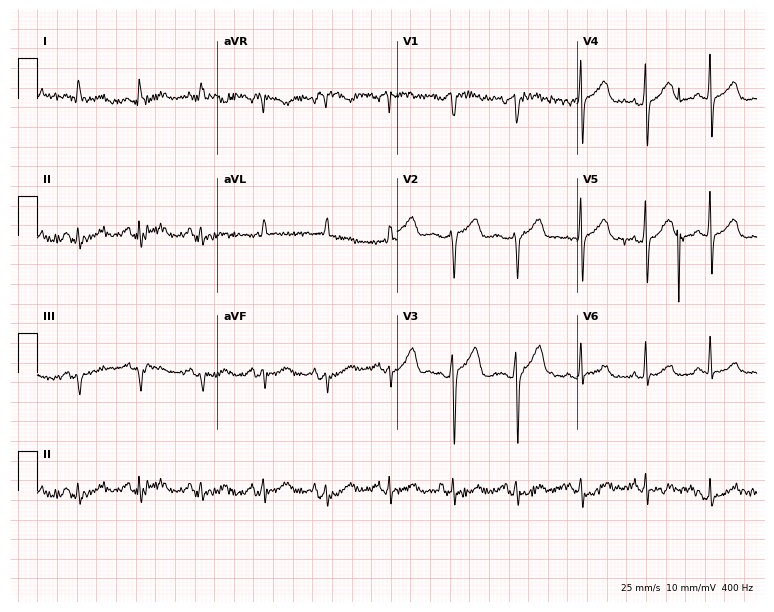
Resting 12-lead electrocardiogram. Patient: a 50-year-old male. None of these six findings is recorded: first-degree AV block, right bundle branch block, left bundle branch block, sinus bradycardia, atrial fibrillation, sinus tachycardia.